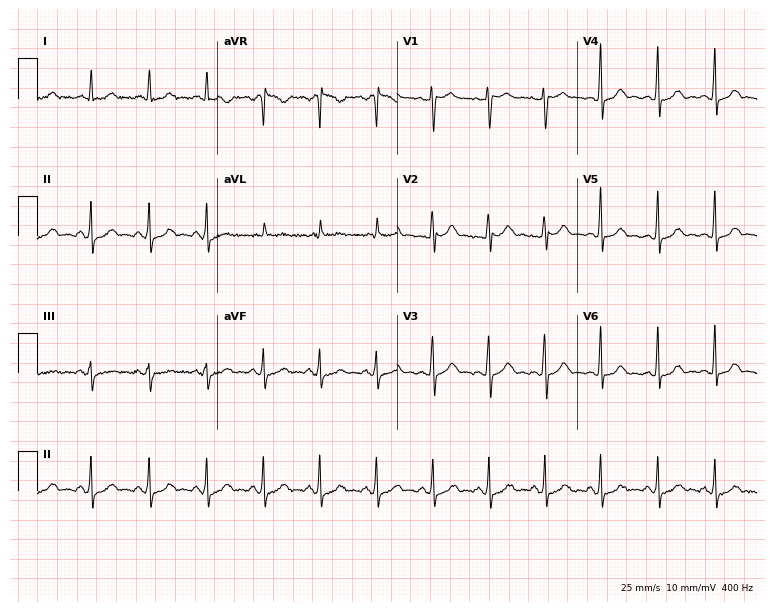
ECG — a female, 45 years old. Findings include sinus tachycardia (a sinus rate of 100 beats per minute or more).